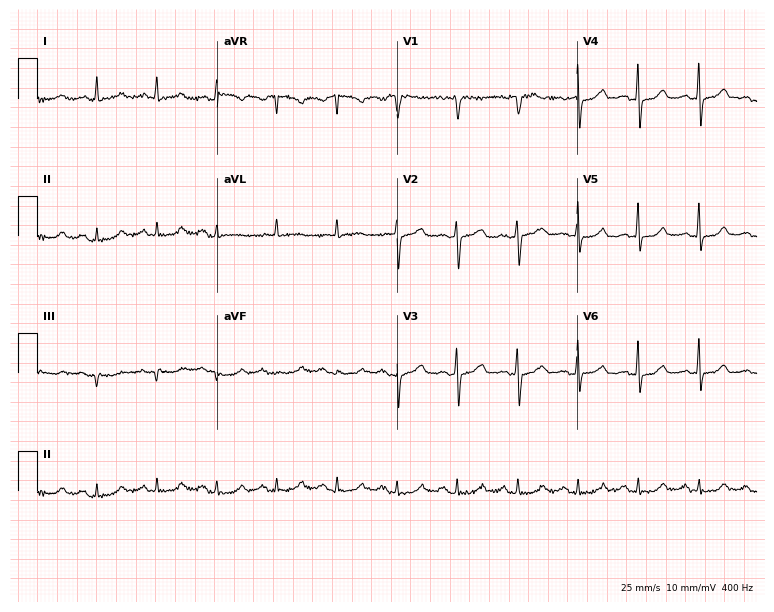
12-lead ECG from an 83-year-old male. Screened for six findings — first-degree AV block, right bundle branch block, left bundle branch block, sinus bradycardia, atrial fibrillation, sinus tachycardia — none is recorded. Findings outside these six are not listed.